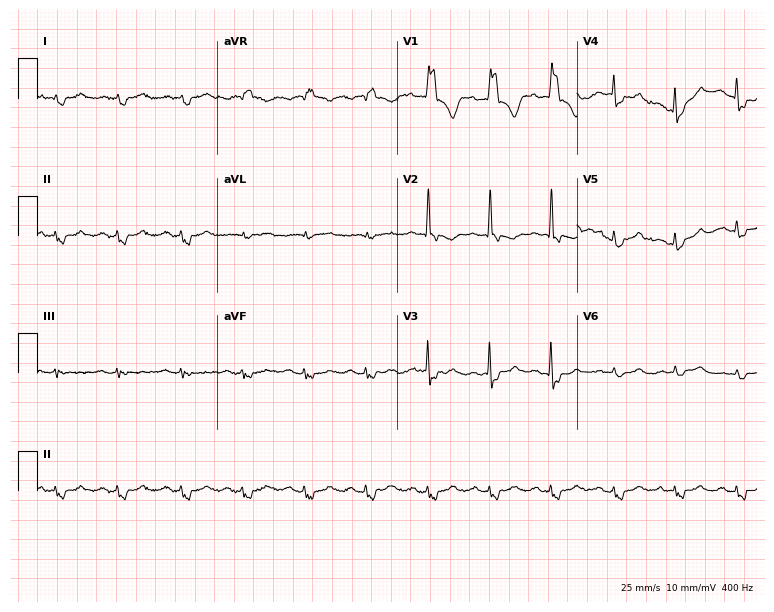
Standard 12-lead ECG recorded from a male patient, 83 years old (7.3-second recording at 400 Hz). The tracing shows right bundle branch block (RBBB).